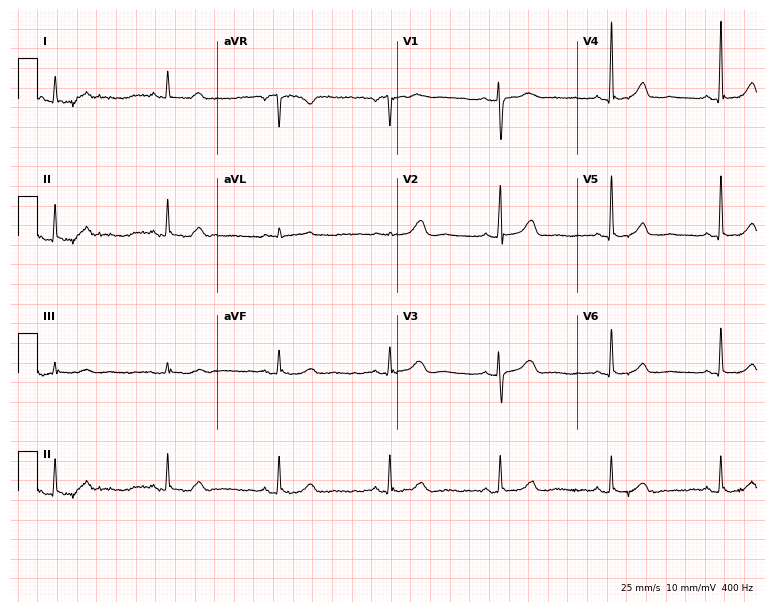
Standard 12-lead ECG recorded from a 59-year-old female patient (7.3-second recording at 400 Hz). Read as a normal ECG.